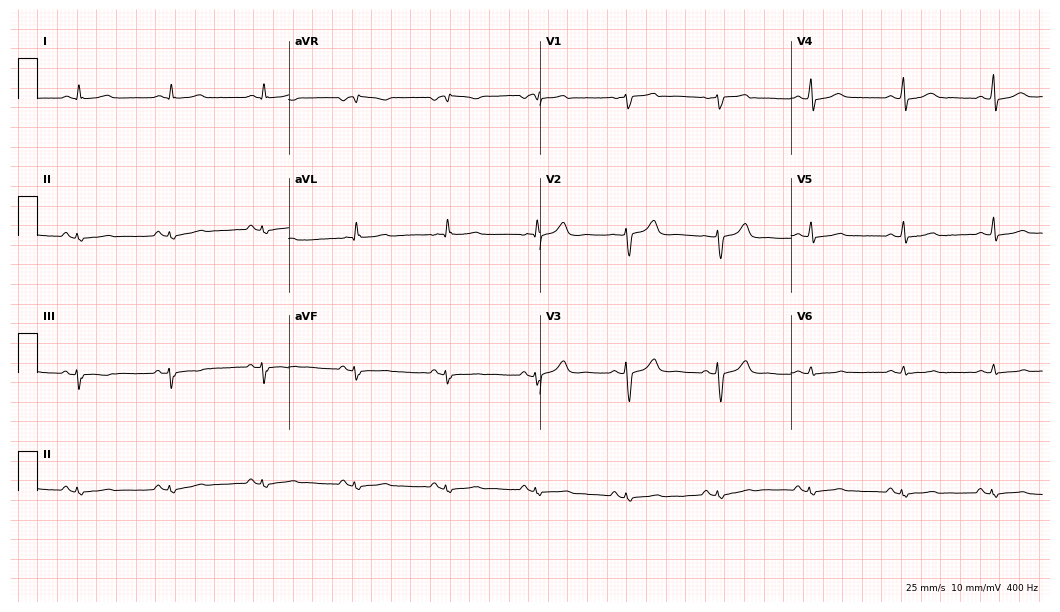
ECG — a male, 58 years old. Screened for six findings — first-degree AV block, right bundle branch block (RBBB), left bundle branch block (LBBB), sinus bradycardia, atrial fibrillation (AF), sinus tachycardia — none is recorded. Only these six findings were labelled.